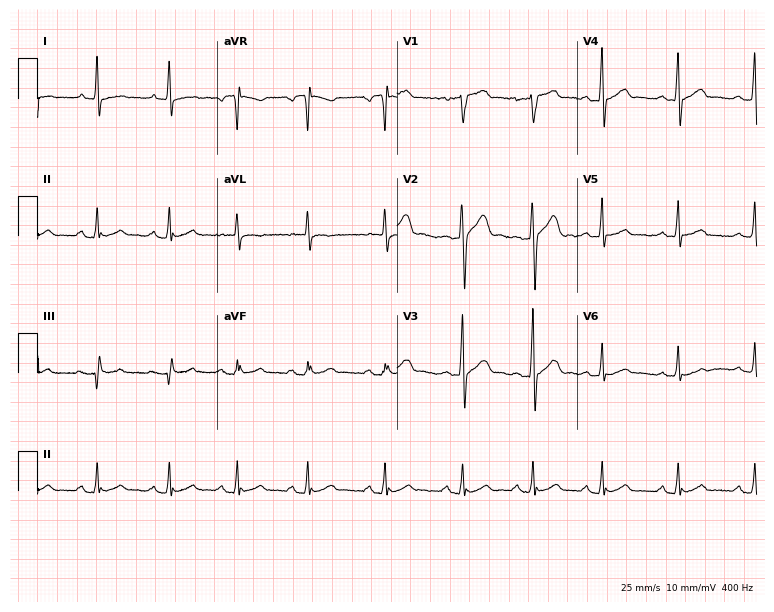
ECG — a man, 32 years old. Screened for six findings — first-degree AV block, right bundle branch block, left bundle branch block, sinus bradycardia, atrial fibrillation, sinus tachycardia — none is recorded.